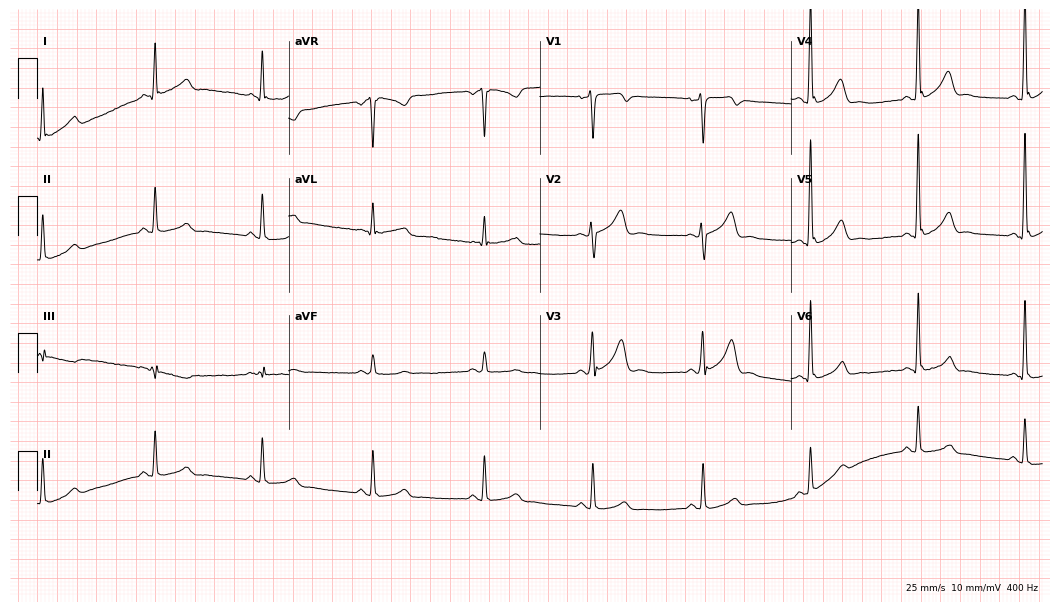
Resting 12-lead electrocardiogram (10.2-second recording at 400 Hz). Patient: a man, 35 years old. Read as a normal ECG.